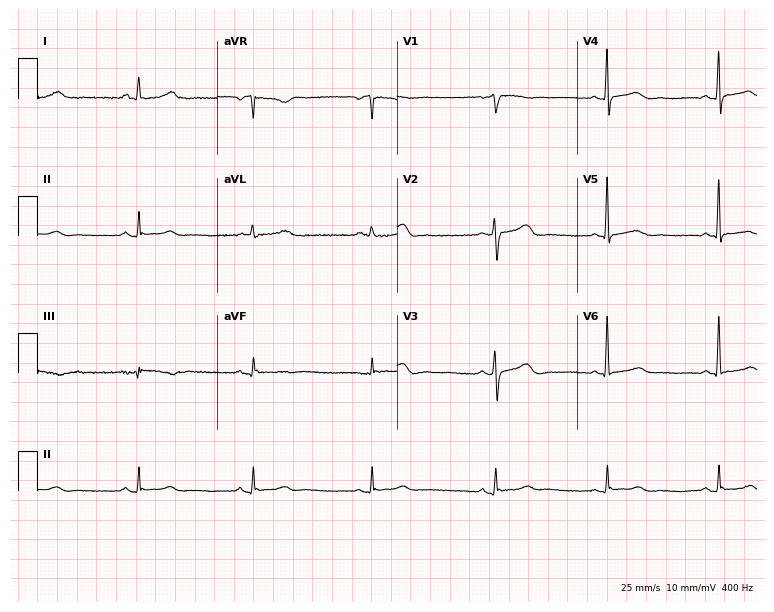
12-lead ECG (7.3-second recording at 400 Hz) from a 50-year-old woman. Labelled as a normal ECG.